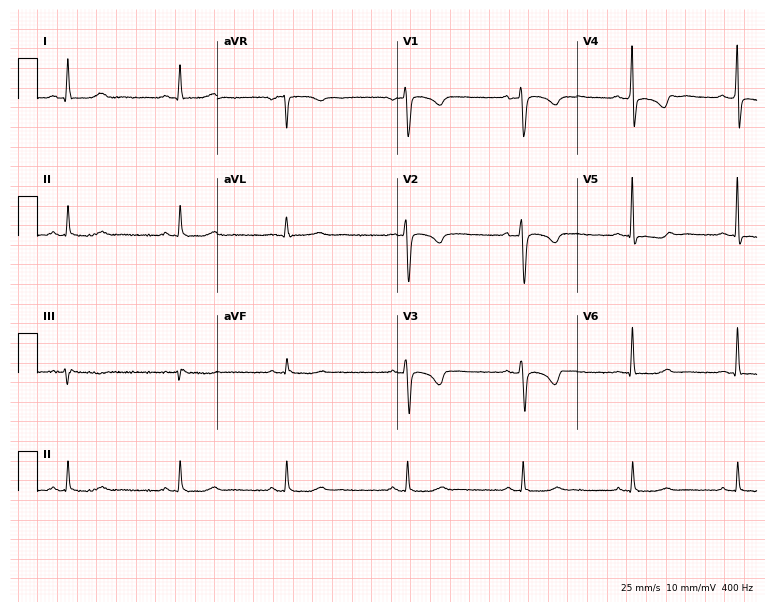
Standard 12-lead ECG recorded from a 43-year-old female. None of these six findings is recorded: first-degree AV block, right bundle branch block, left bundle branch block, sinus bradycardia, atrial fibrillation, sinus tachycardia. Findings outside these six are not listed.